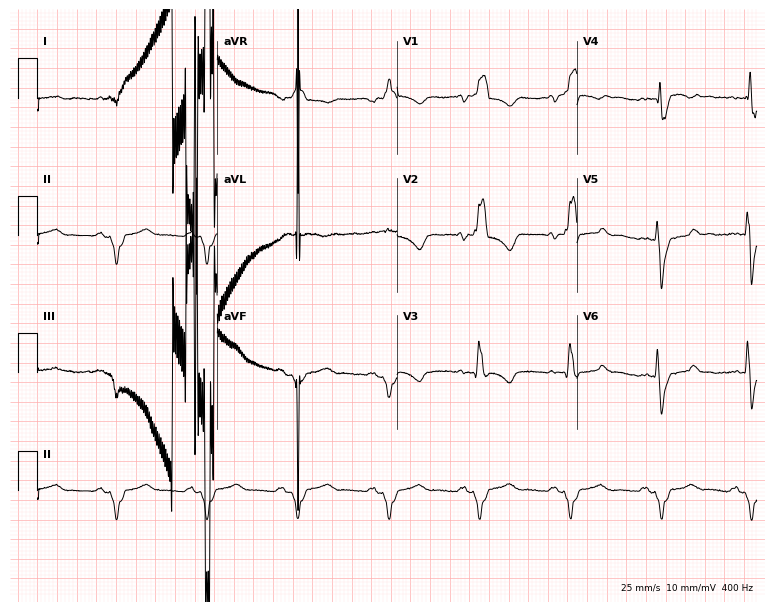
12-lead ECG from a 40-year-old male patient. Screened for six findings — first-degree AV block, right bundle branch block, left bundle branch block, sinus bradycardia, atrial fibrillation, sinus tachycardia — none is recorded. Only these six findings were labelled.